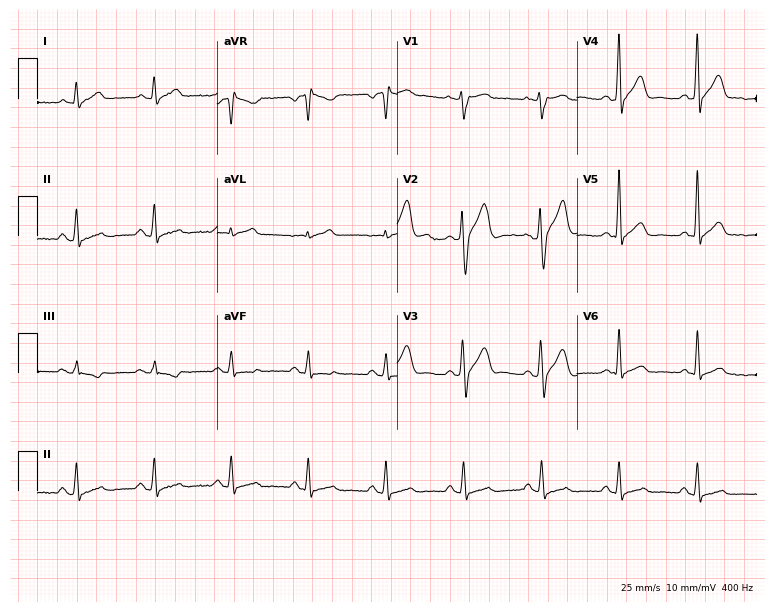
ECG — a male patient, 49 years old. Screened for six findings — first-degree AV block, right bundle branch block, left bundle branch block, sinus bradycardia, atrial fibrillation, sinus tachycardia — none is recorded.